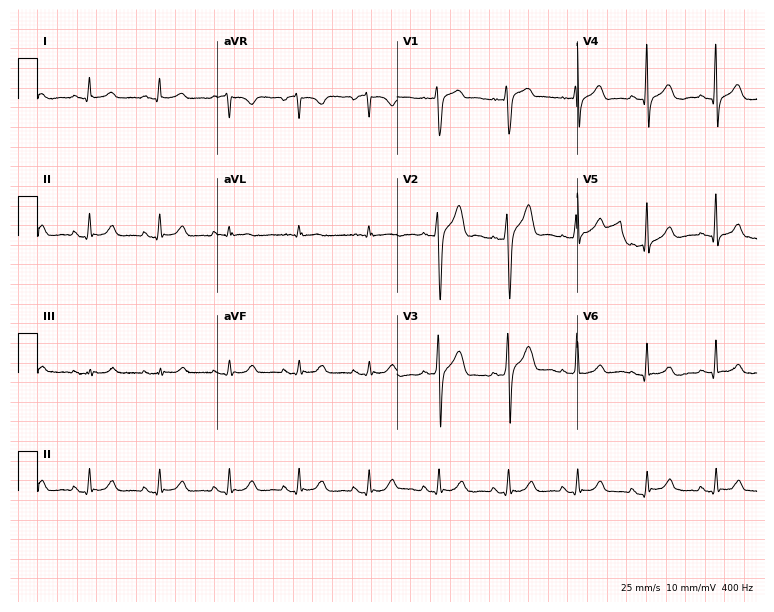
12-lead ECG from a 51-year-old man. Recorded interpretation: within normal limits.